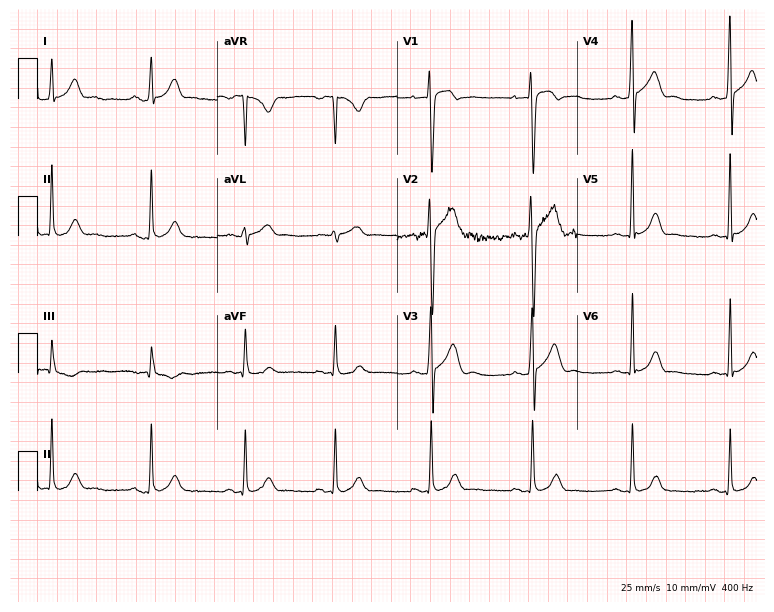
Electrocardiogram (7.3-second recording at 400 Hz), a man, 30 years old. Of the six screened findings (first-degree AV block, right bundle branch block (RBBB), left bundle branch block (LBBB), sinus bradycardia, atrial fibrillation (AF), sinus tachycardia), none is recorded. Only these six findings were labelled.